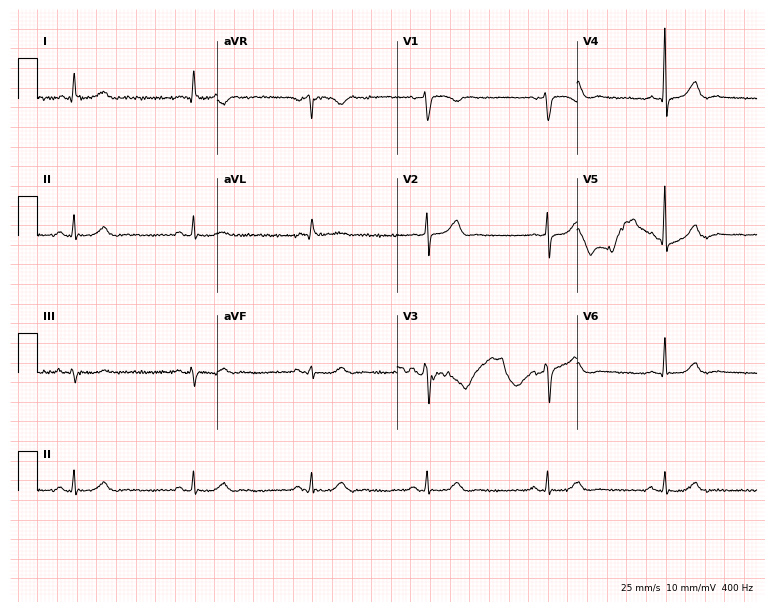
Standard 12-lead ECG recorded from an 81-year-old man (7.3-second recording at 400 Hz). Read as a normal ECG.